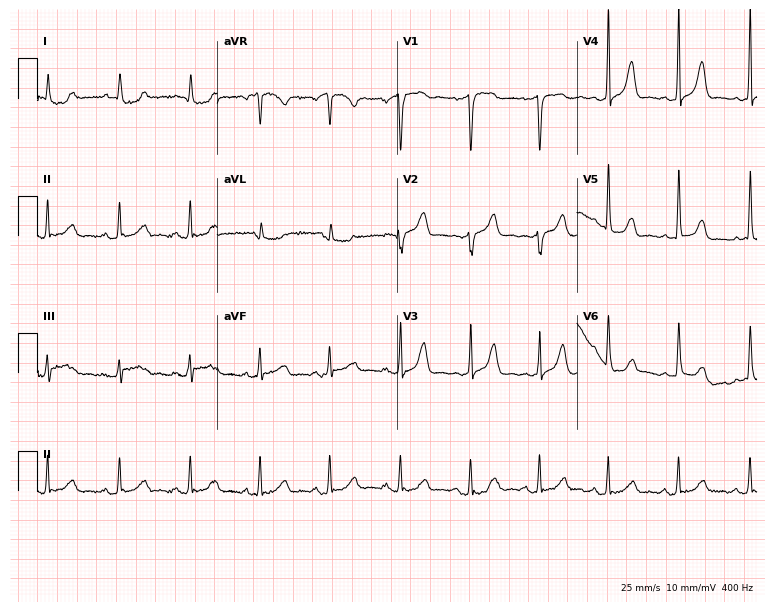
12-lead ECG from a woman, 73 years old. Labelled as a normal ECG.